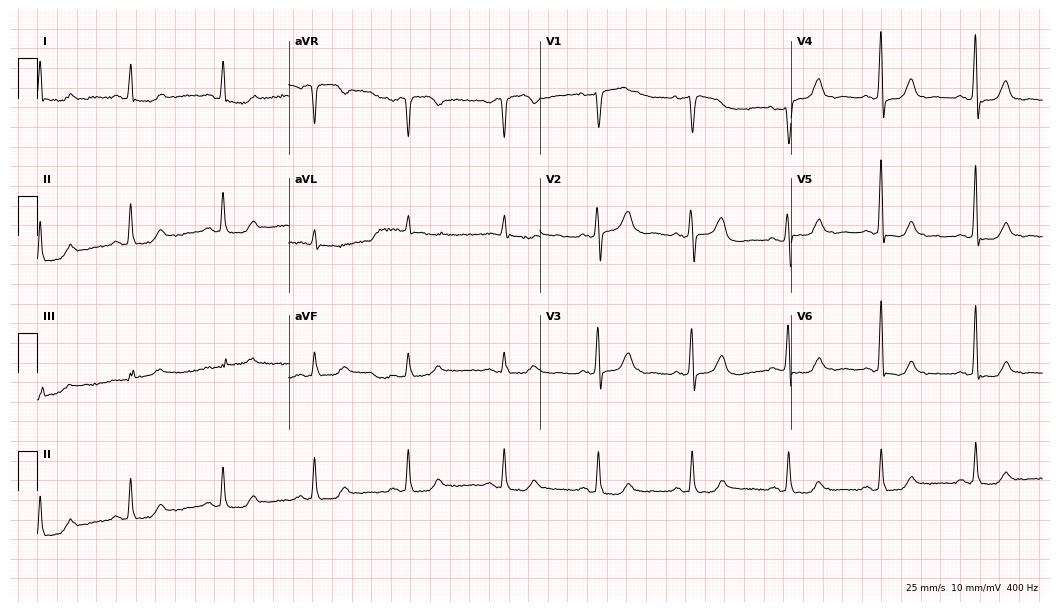
Resting 12-lead electrocardiogram. Patient: a female, 57 years old. Read as a normal ECG.